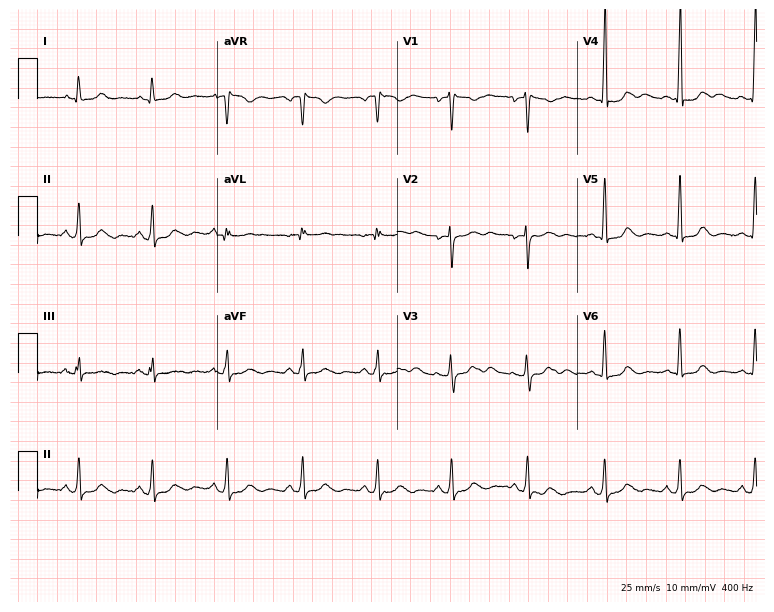
Standard 12-lead ECG recorded from a female patient, 48 years old (7.3-second recording at 400 Hz). None of these six findings is recorded: first-degree AV block, right bundle branch block (RBBB), left bundle branch block (LBBB), sinus bradycardia, atrial fibrillation (AF), sinus tachycardia.